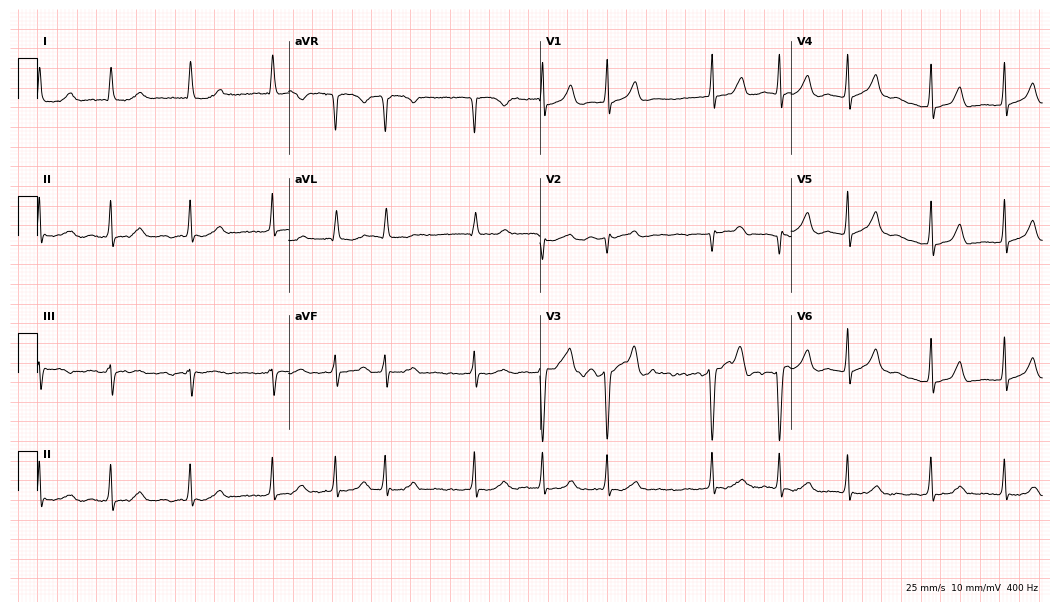
12-lead ECG (10.2-second recording at 400 Hz) from an 80-year-old male. Findings include atrial fibrillation.